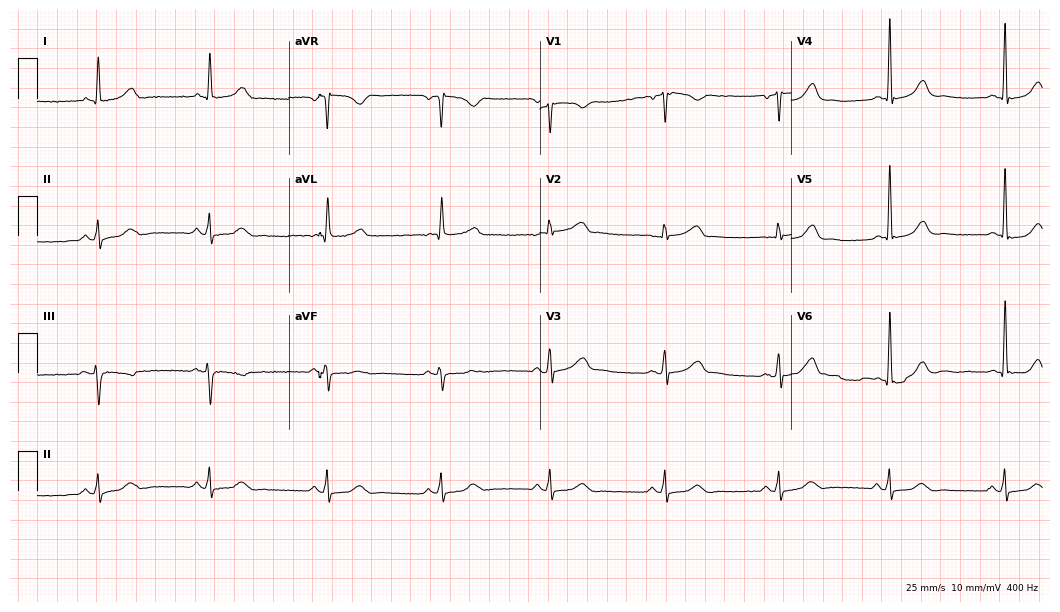
Resting 12-lead electrocardiogram. Patient: a female, 52 years old. None of these six findings is recorded: first-degree AV block, right bundle branch block, left bundle branch block, sinus bradycardia, atrial fibrillation, sinus tachycardia. Findings outside these six are not listed.